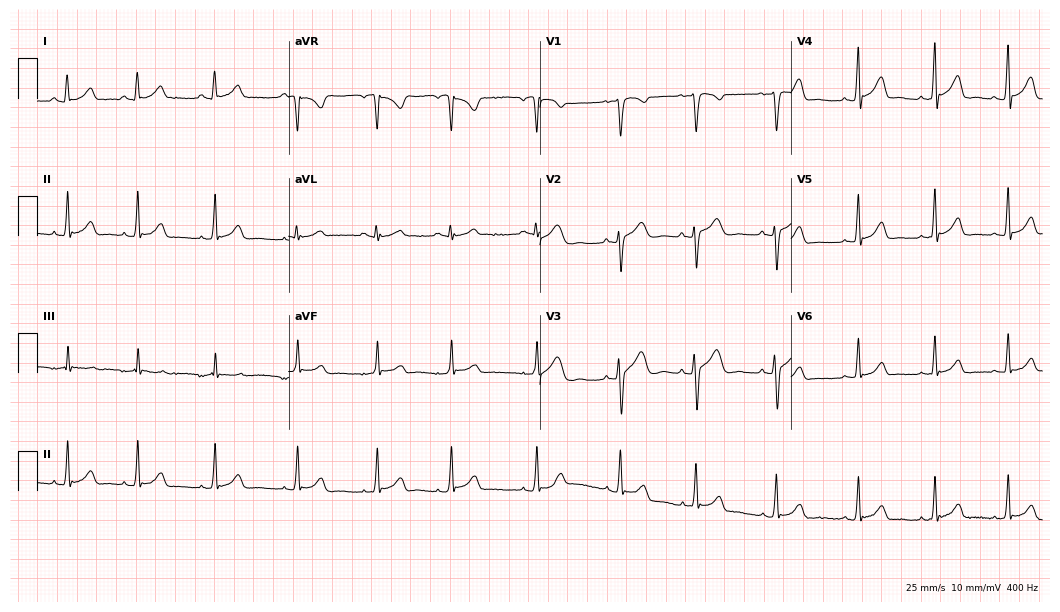
Standard 12-lead ECG recorded from a female, 19 years old. None of these six findings is recorded: first-degree AV block, right bundle branch block, left bundle branch block, sinus bradycardia, atrial fibrillation, sinus tachycardia. Only these six findings were labelled.